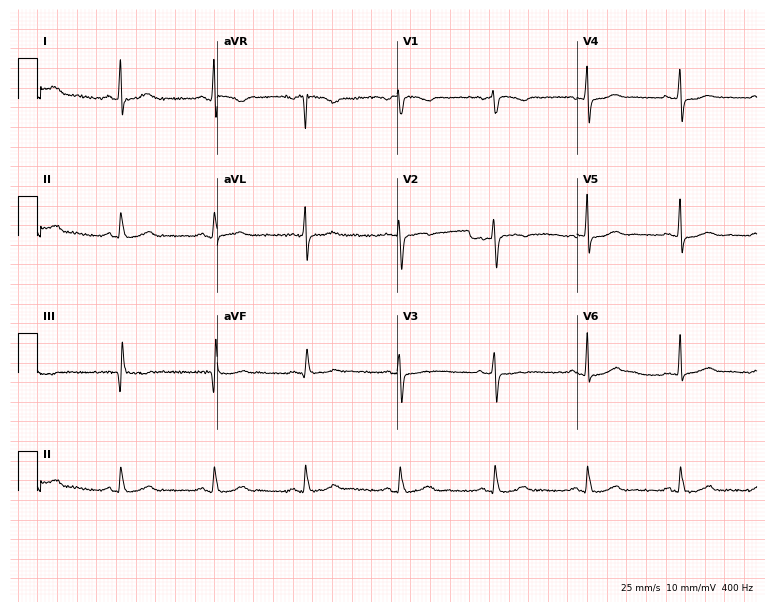
12-lead ECG from a female patient, 55 years old. Screened for six findings — first-degree AV block, right bundle branch block, left bundle branch block, sinus bradycardia, atrial fibrillation, sinus tachycardia — none is recorded.